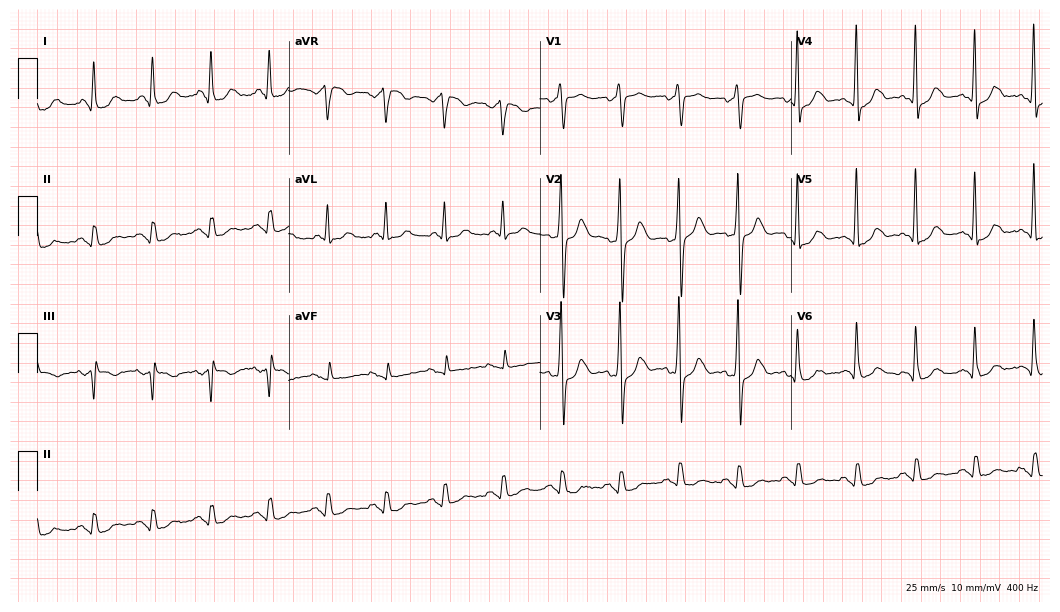
Electrocardiogram, an 81-year-old female. Interpretation includes sinus tachycardia (a sinus rate of 100 beats per minute or more).